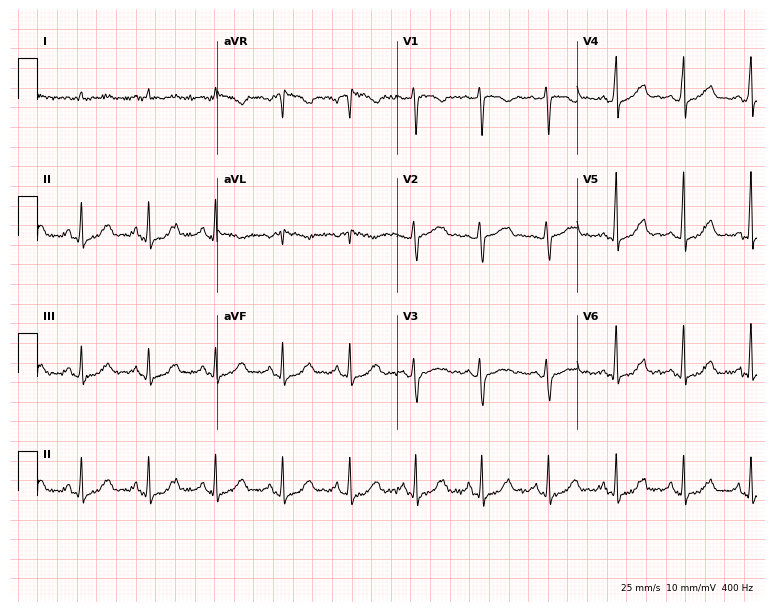
Standard 12-lead ECG recorded from a female, 61 years old (7.3-second recording at 400 Hz). Read as a normal ECG.